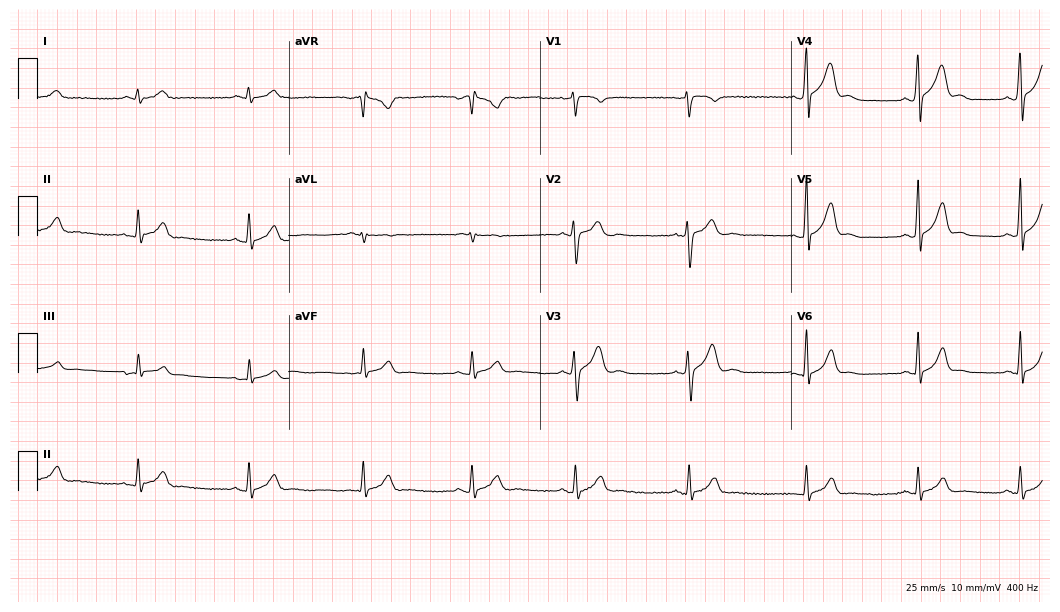
ECG (10.2-second recording at 400 Hz) — a 24-year-old man. Screened for six findings — first-degree AV block, right bundle branch block (RBBB), left bundle branch block (LBBB), sinus bradycardia, atrial fibrillation (AF), sinus tachycardia — none is recorded.